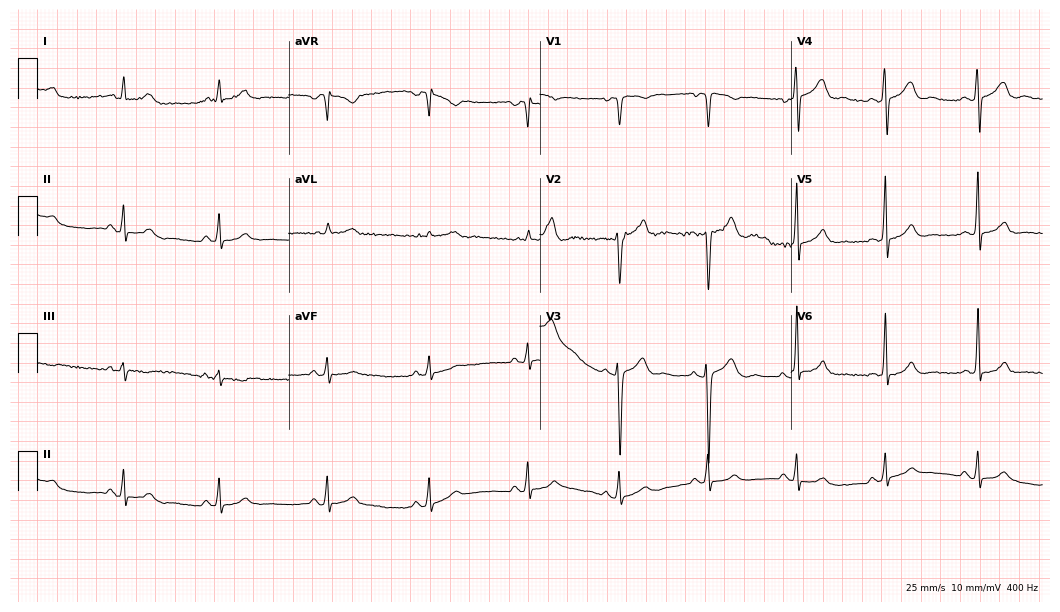
12-lead ECG from a 31-year-old male. Recorded interpretation: within normal limits.